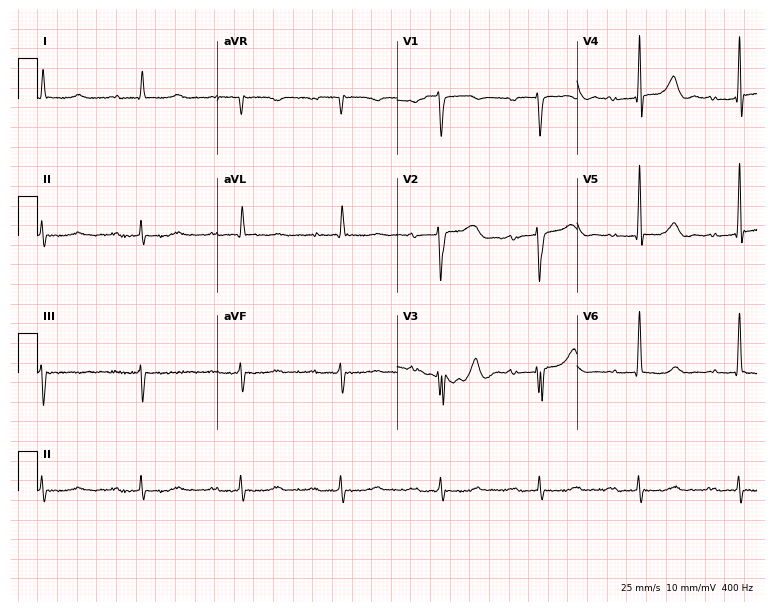
Resting 12-lead electrocardiogram. Patient: a male, 79 years old. The tracing shows first-degree AV block.